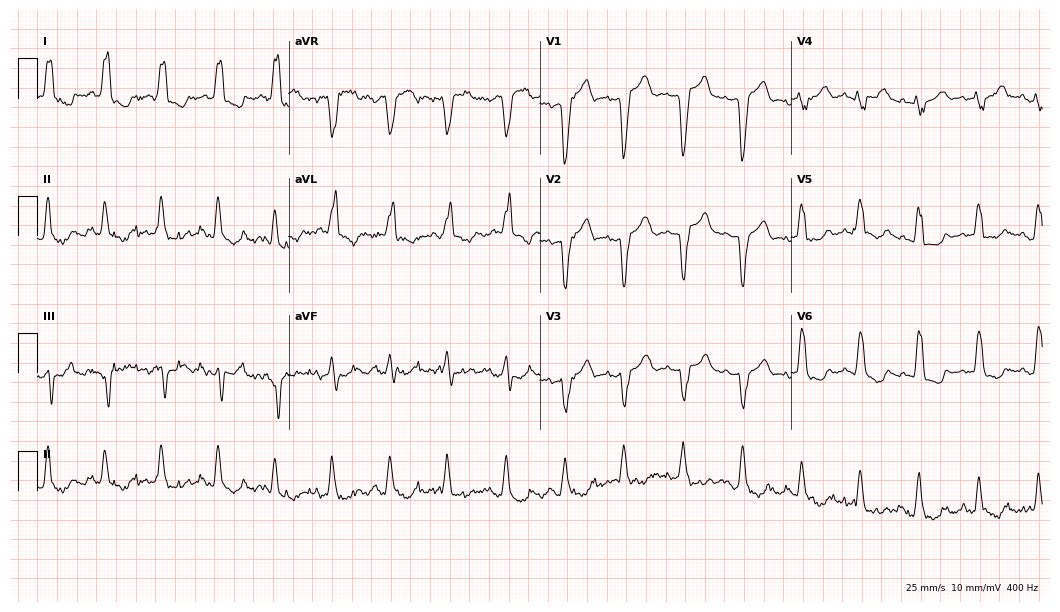
12-lead ECG from an 80-year-old female patient. Shows left bundle branch block.